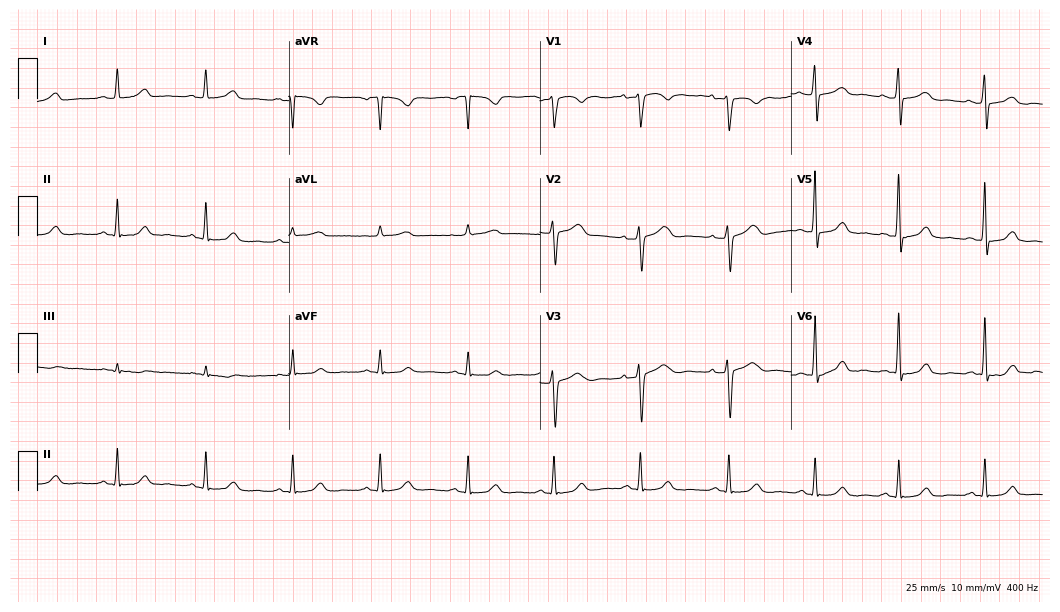
Electrocardiogram (10.2-second recording at 400 Hz), a female, 40 years old. Overall reading on record: normal ECG.